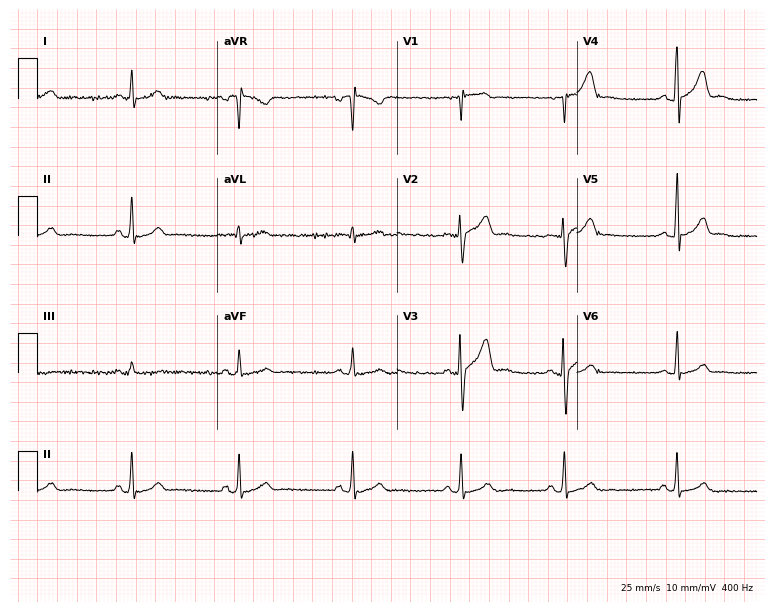
12-lead ECG from a man, 19 years old. Recorded interpretation: within normal limits.